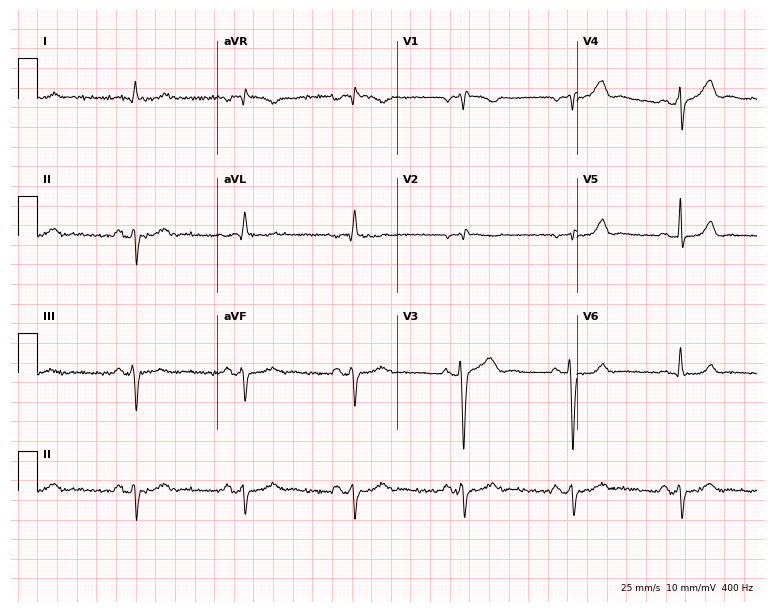
12-lead ECG from a 54-year-old male. No first-degree AV block, right bundle branch block, left bundle branch block, sinus bradycardia, atrial fibrillation or sinus tachycardia recorded for this tracing. Other findings, if any, are not listed.